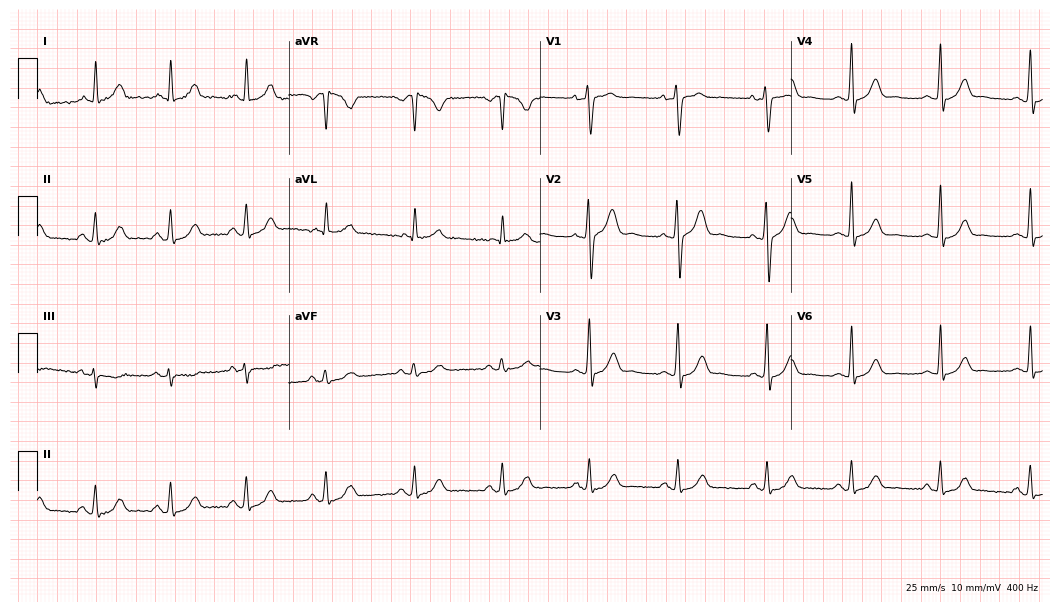
ECG (10.2-second recording at 400 Hz) — a 39-year-old male patient. Screened for six findings — first-degree AV block, right bundle branch block (RBBB), left bundle branch block (LBBB), sinus bradycardia, atrial fibrillation (AF), sinus tachycardia — none is recorded. Only these six findings were labelled.